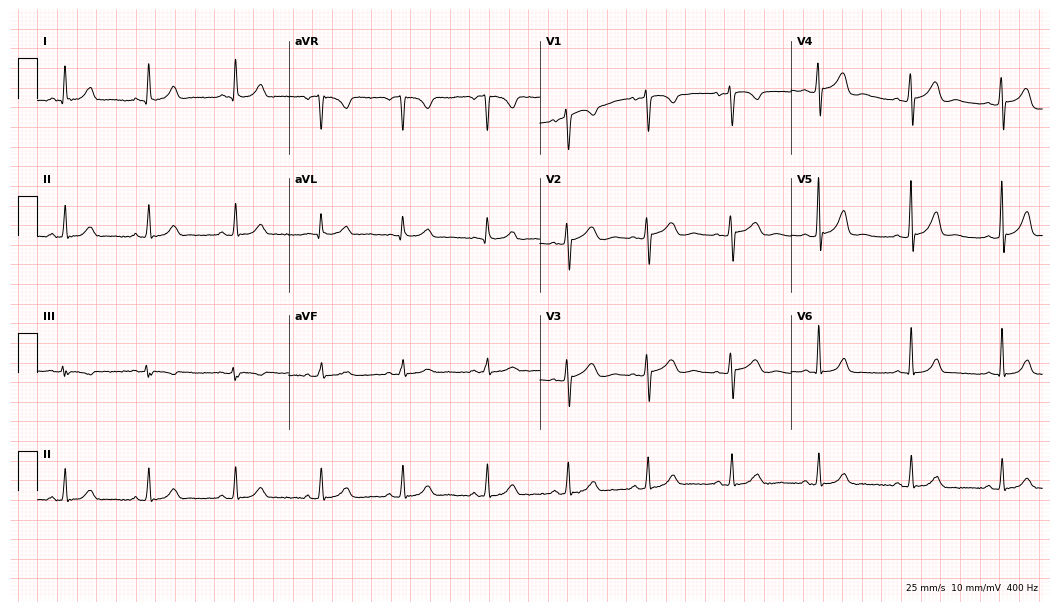
Resting 12-lead electrocardiogram. Patient: a 33-year-old female. Read as a normal ECG.